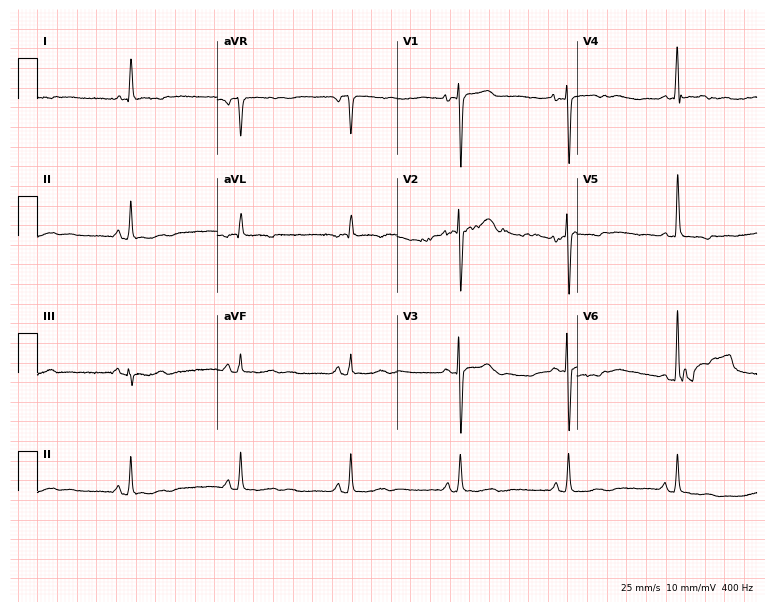
12-lead ECG from a female patient, 49 years old (7.3-second recording at 400 Hz). No first-degree AV block, right bundle branch block (RBBB), left bundle branch block (LBBB), sinus bradycardia, atrial fibrillation (AF) or sinus tachycardia recorded for this tracing.